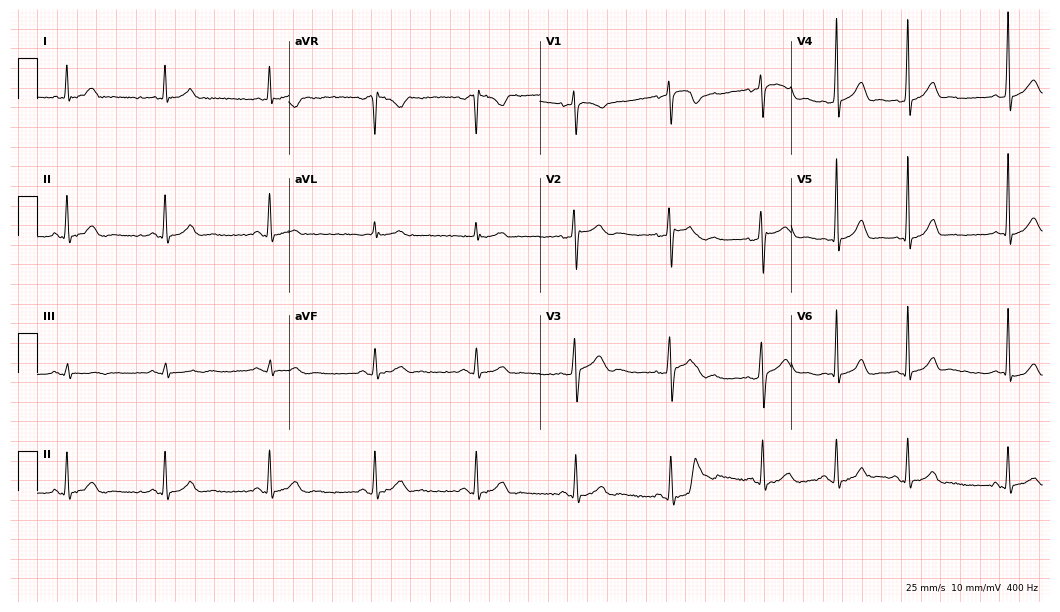
12-lead ECG (10.2-second recording at 400 Hz) from a 29-year-old man. Labelled as a normal ECG.